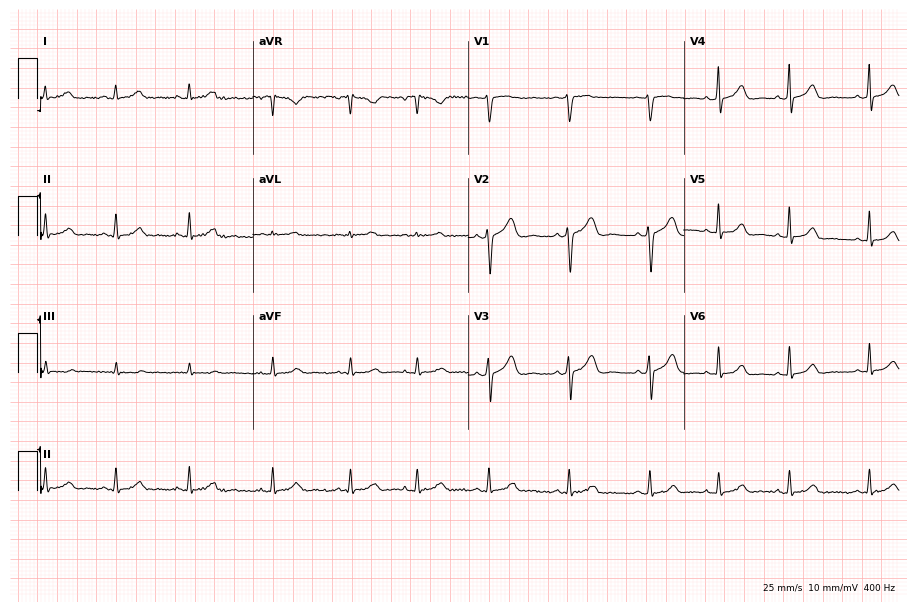
Standard 12-lead ECG recorded from a female patient, 27 years old. None of these six findings is recorded: first-degree AV block, right bundle branch block, left bundle branch block, sinus bradycardia, atrial fibrillation, sinus tachycardia. Findings outside these six are not listed.